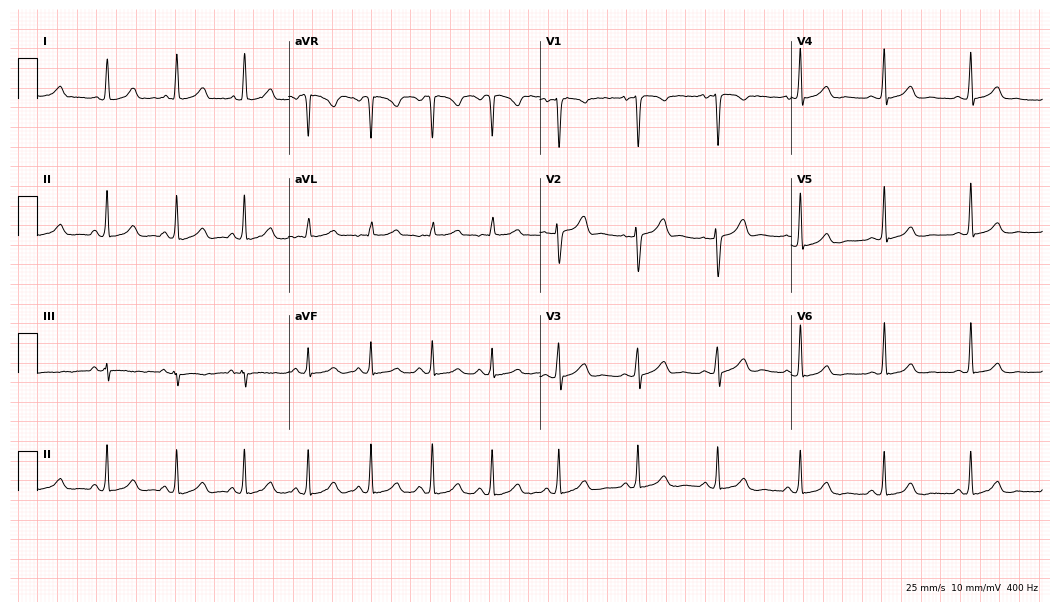
12-lead ECG from a 26-year-old female (10.2-second recording at 400 Hz). Recorded interpretation: within normal limits.